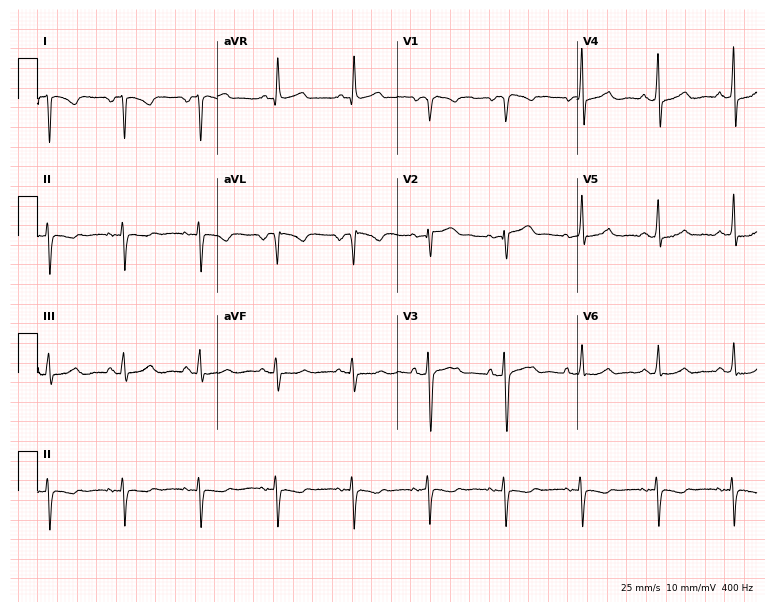
Standard 12-lead ECG recorded from a 53-year-old male patient. None of these six findings is recorded: first-degree AV block, right bundle branch block (RBBB), left bundle branch block (LBBB), sinus bradycardia, atrial fibrillation (AF), sinus tachycardia.